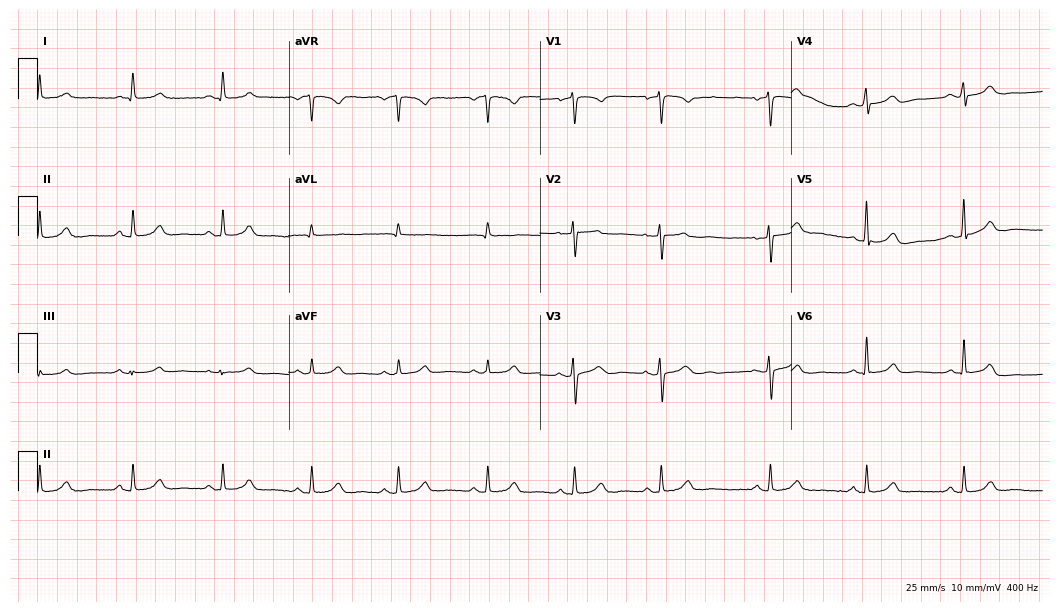
12-lead ECG from a woman, 49 years old (10.2-second recording at 400 Hz). Recorded interpretation: within normal limits.